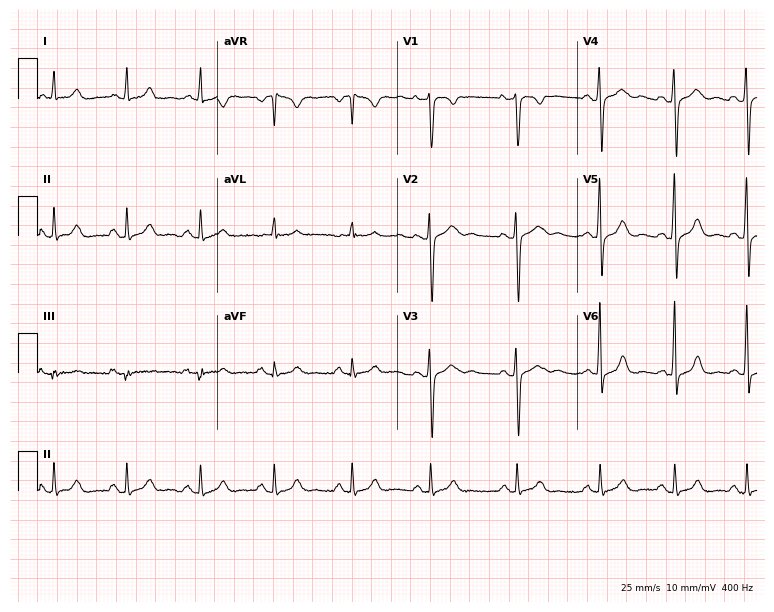
Standard 12-lead ECG recorded from a 50-year-old female patient (7.3-second recording at 400 Hz). Read as a normal ECG.